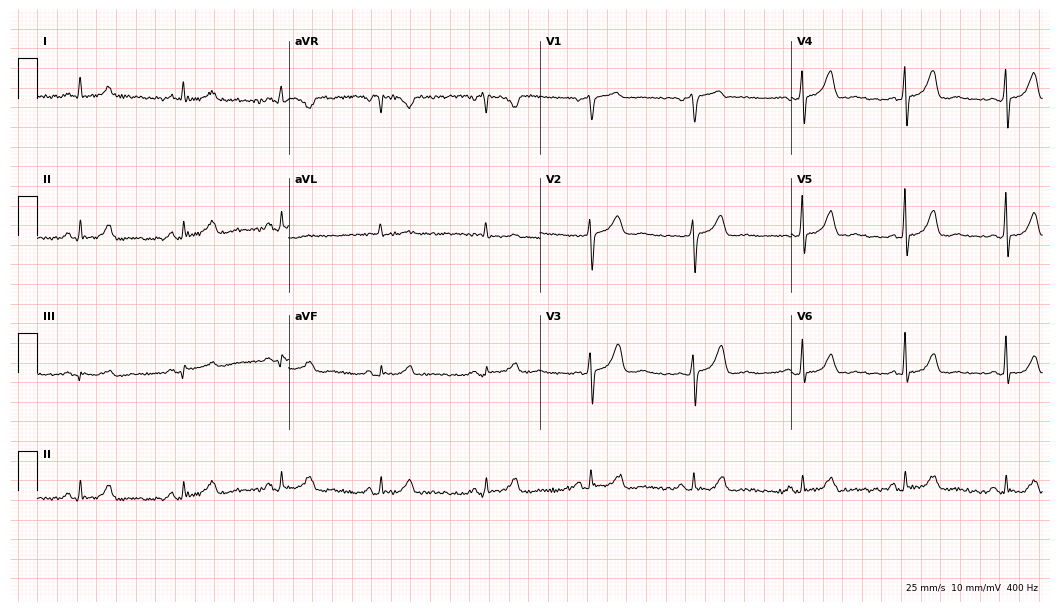
12-lead ECG from a 53-year-old woman (10.2-second recording at 400 Hz). Recorded interpretation: within normal limits.